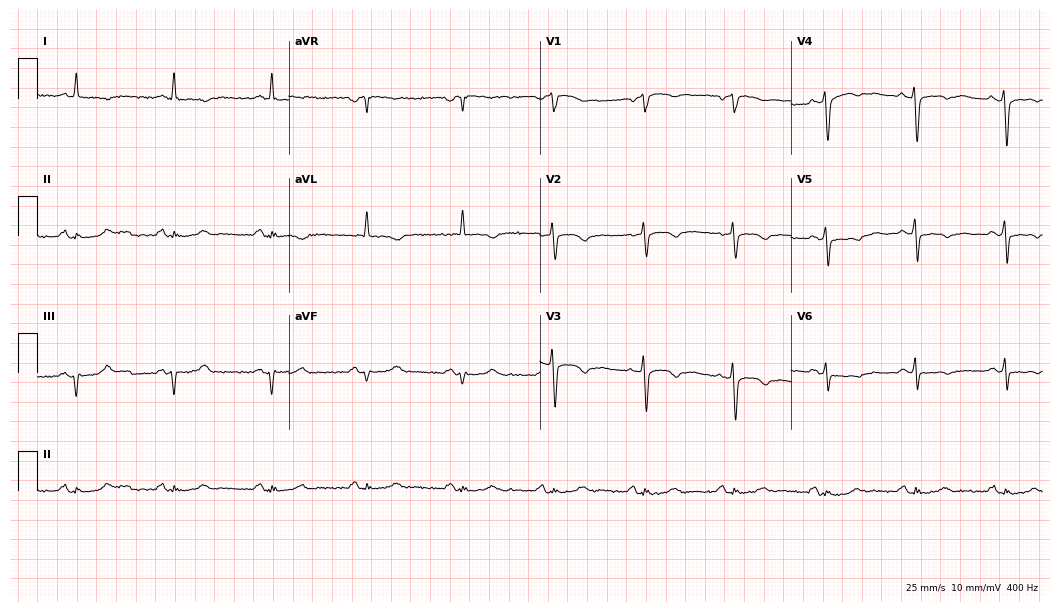
ECG (10.2-second recording at 400 Hz) — a 62-year-old female patient. Screened for six findings — first-degree AV block, right bundle branch block, left bundle branch block, sinus bradycardia, atrial fibrillation, sinus tachycardia — none is recorded.